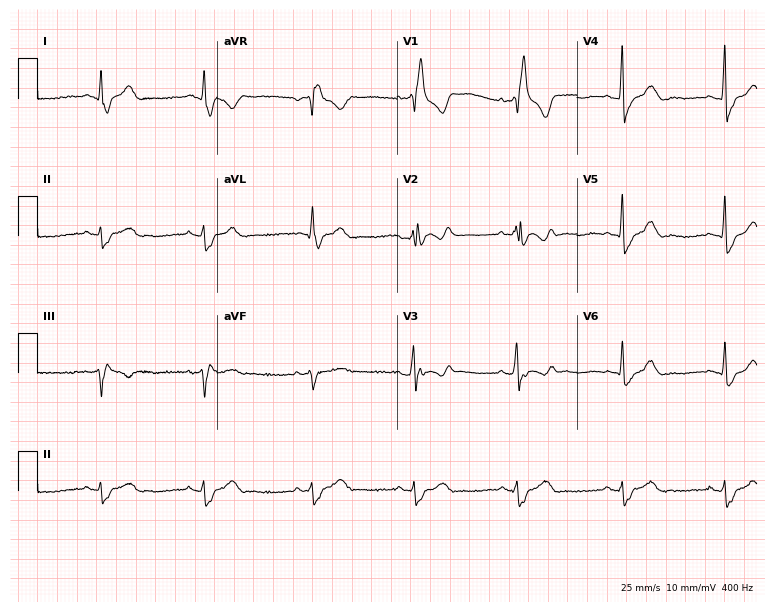
12-lead ECG from a male patient, 53 years old. No first-degree AV block, right bundle branch block, left bundle branch block, sinus bradycardia, atrial fibrillation or sinus tachycardia recorded for this tracing.